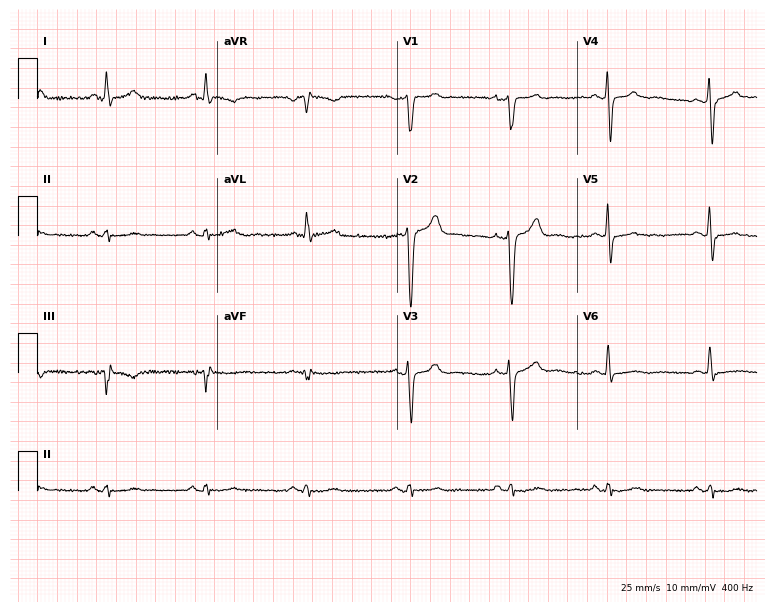
12-lead ECG (7.3-second recording at 400 Hz) from a 50-year-old male patient. Screened for six findings — first-degree AV block, right bundle branch block (RBBB), left bundle branch block (LBBB), sinus bradycardia, atrial fibrillation (AF), sinus tachycardia — none is recorded.